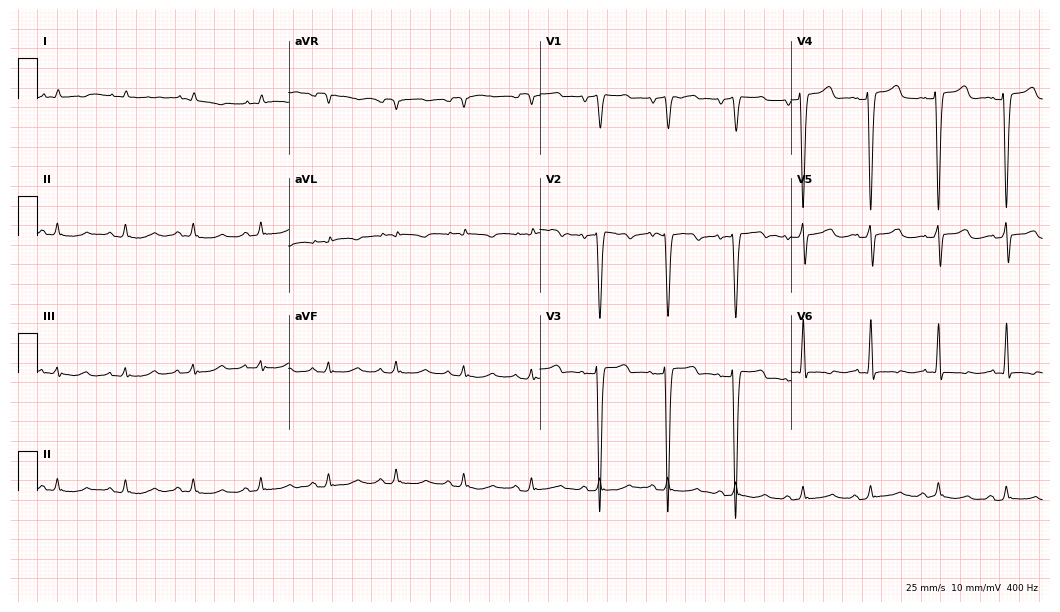
Electrocardiogram (10.2-second recording at 400 Hz), a 51-year-old male patient. Of the six screened findings (first-degree AV block, right bundle branch block (RBBB), left bundle branch block (LBBB), sinus bradycardia, atrial fibrillation (AF), sinus tachycardia), none is recorded.